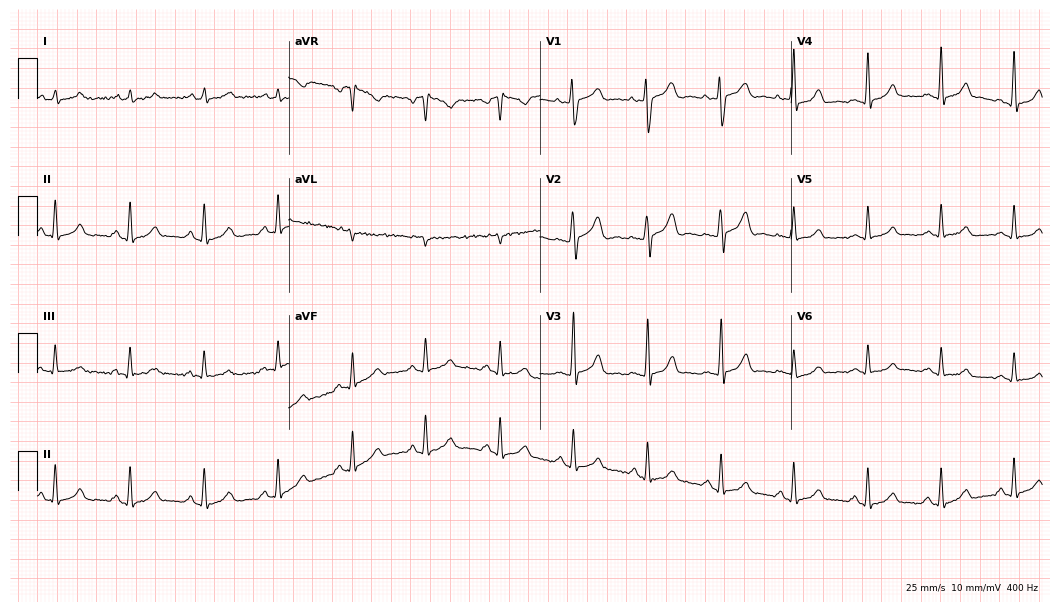
ECG (10.2-second recording at 400 Hz) — a 49-year-old female patient. Screened for six findings — first-degree AV block, right bundle branch block, left bundle branch block, sinus bradycardia, atrial fibrillation, sinus tachycardia — none is recorded. Only these six findings were labelled.